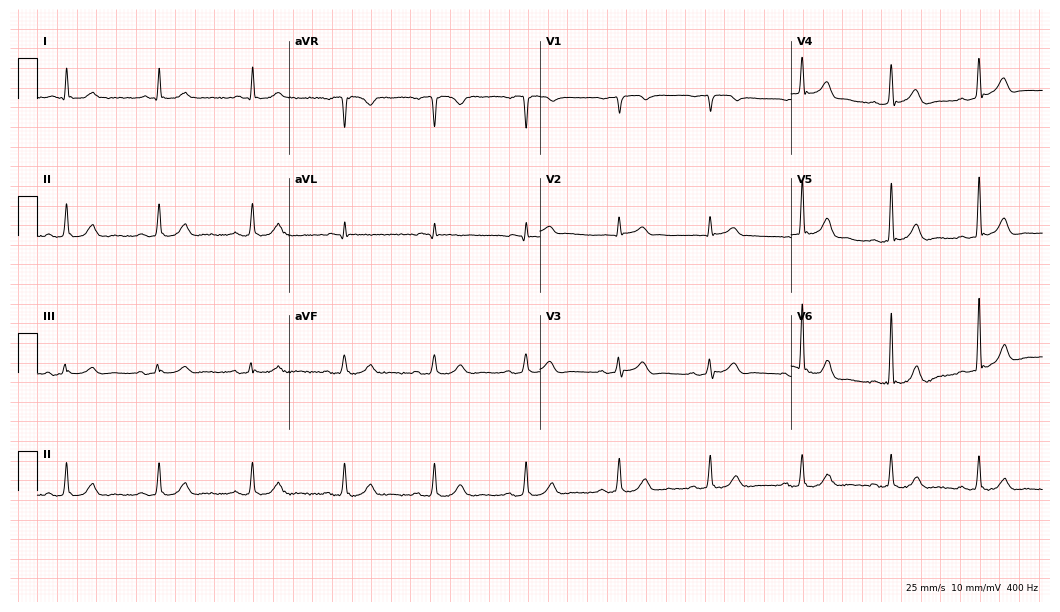
12-lead ECG from a male, 84 years old. Labelled as a normal ECG.